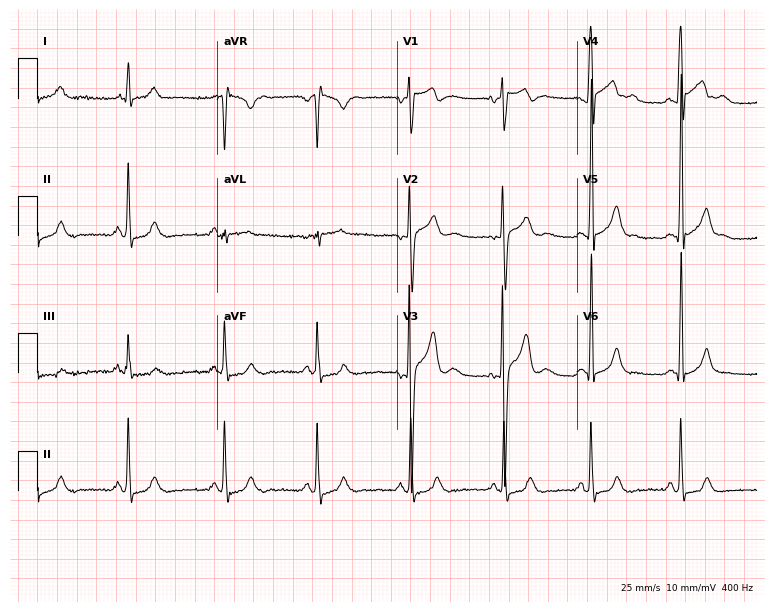
12-lead ECG from a 19-year-old male patient (7.3-second recording at 400 Hz). Recorded interpretation: within normal limits.